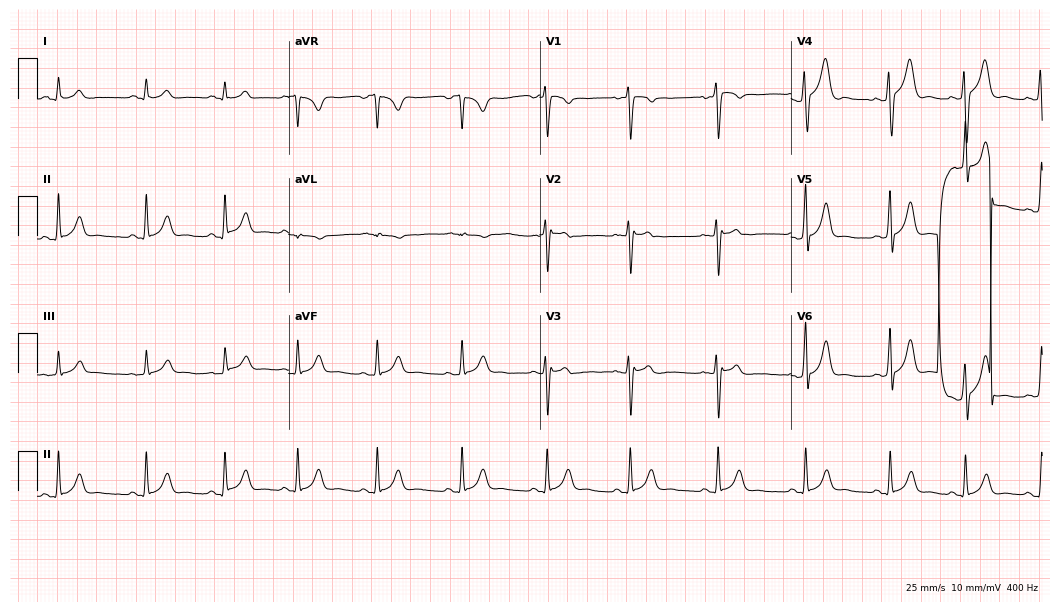
Standard 12-lead ECG recorded from a 25-year-old male patient (10.2-second recording at 400 Hz). Read as a normal ECG.